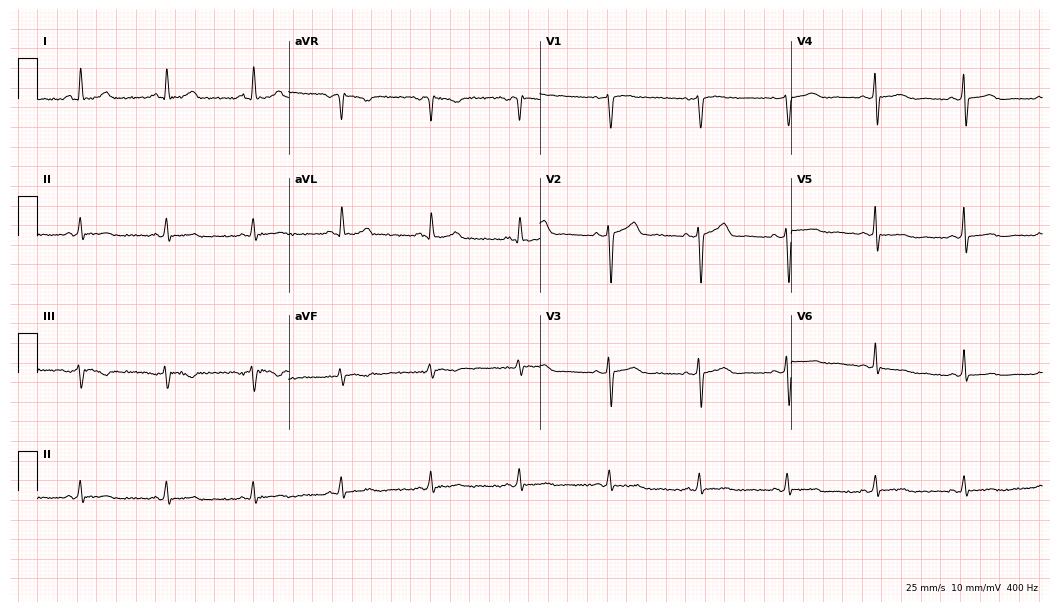
12-lead ECG (10.2-second recording at 400 Hz) from a 60-year-old woman. Screened for six findings — first-degree AV block, right bundle branch block, left bundle branch block, sinus bradycardia, atrial fibrillation, sinus tachycardia — none is recorded.